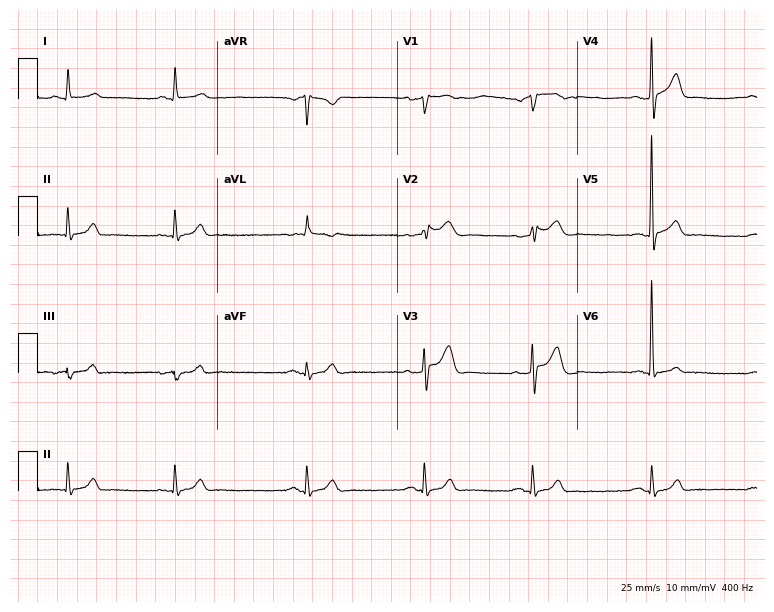
Resting 12-lead electrocardiogram (7.3-second recording at 400 Hz). Patient: a 72-year-old male. The tracing shows sinus bradycardia (a sinus rate of 50 beats per minute or less).